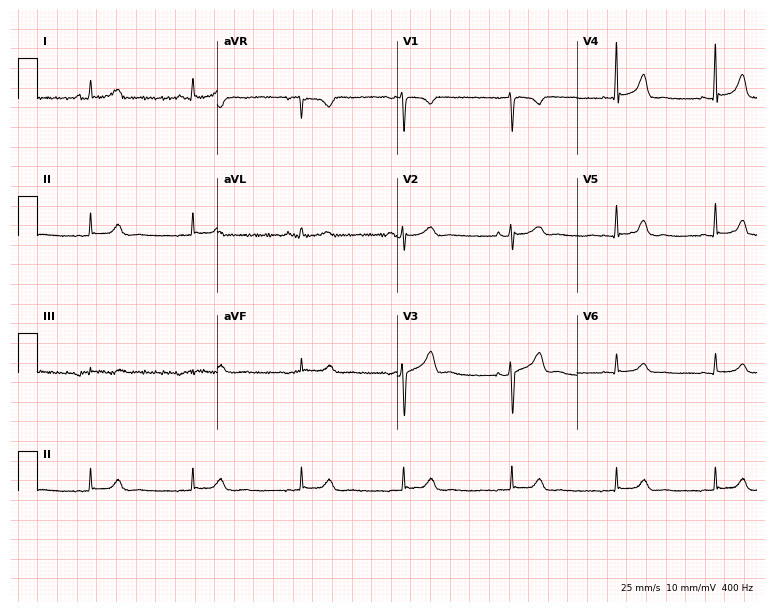
Standard 12-lead ECG recorded from a 42-year-old female patient (7.3-second recording at 400 Hz). None of these six findings is recorded: first-degree AV block, right bundle branch block, left bundle branch block, sinus bradycardia, atrial fibrillation, sinus tachycardia. Only these six findings were labelled.